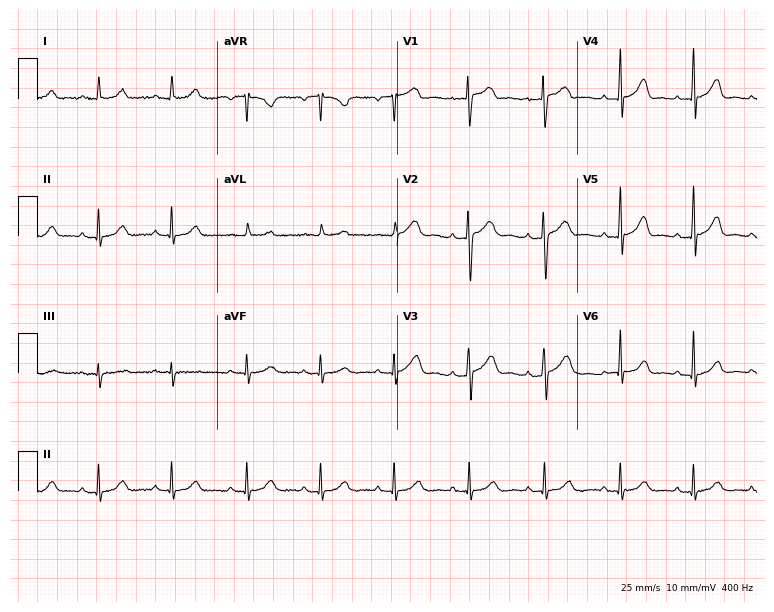
ECG — a 47-year-old female patient. Labelled as a normal ECG.